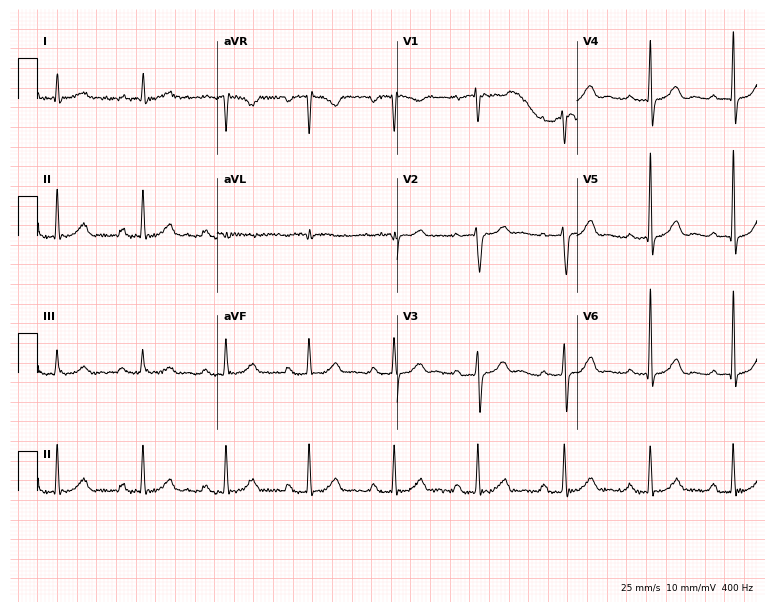
ECG (7.3-second recording at 400 Hz) — a 61-year-old male patient. Findings include first-degree AV block.